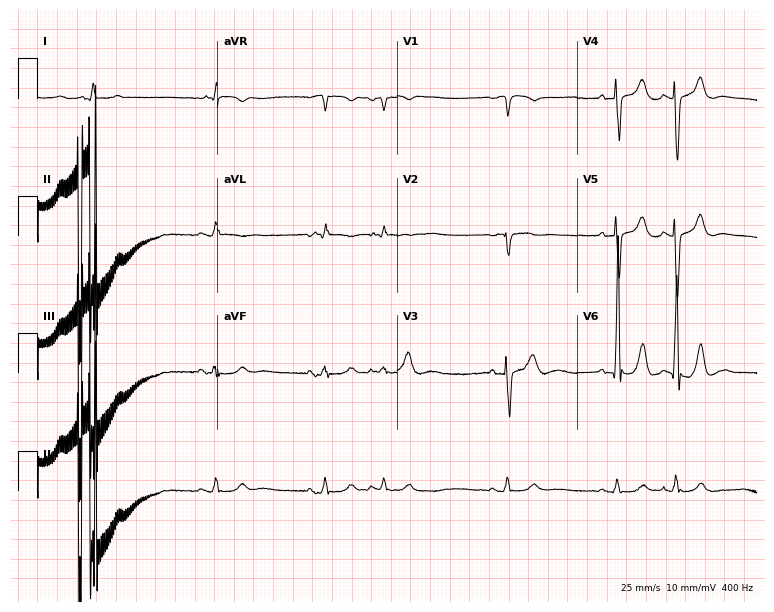
Standard 12-lead ECG recorded from an 85-year-old male (7.3-second recording at 400 Hz). None of these six findings is recorded: first-degree AV block, right bundle branch block, left bundle branch block, sinus bradycardia, atrial fibrillation, sinus tachycardia.